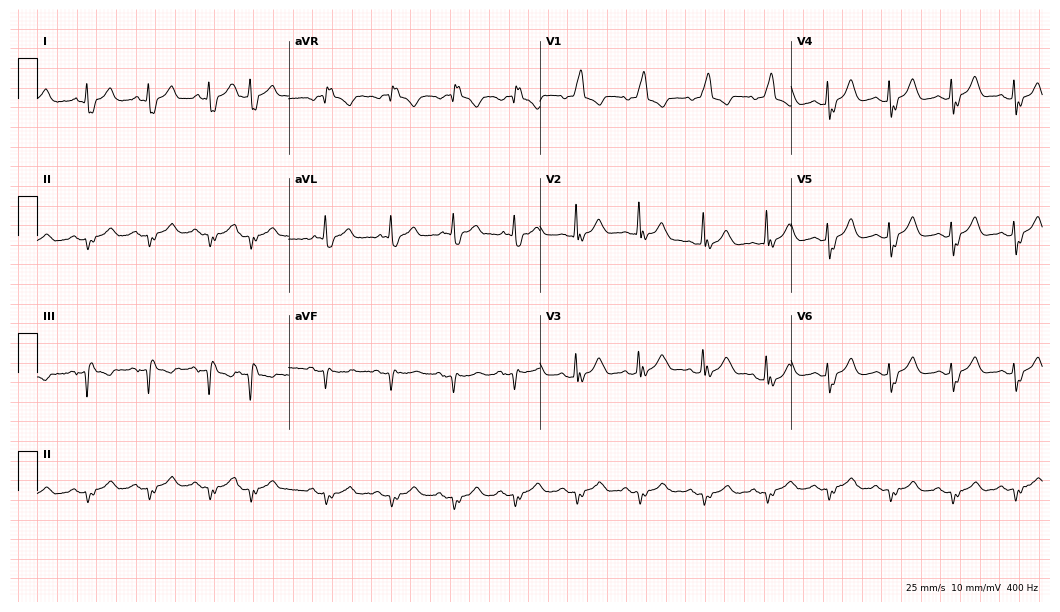
12-lead ECG (10.2-second recording at 400 Hz) from a man, 80 years old. Screened for six findings — first-degree AV block, right bundle branch block, left bundle branch block, sinus bradycardia, atrial fibrillation, sinus tachycardia — none is recorded. Findings outside these six are not listed.